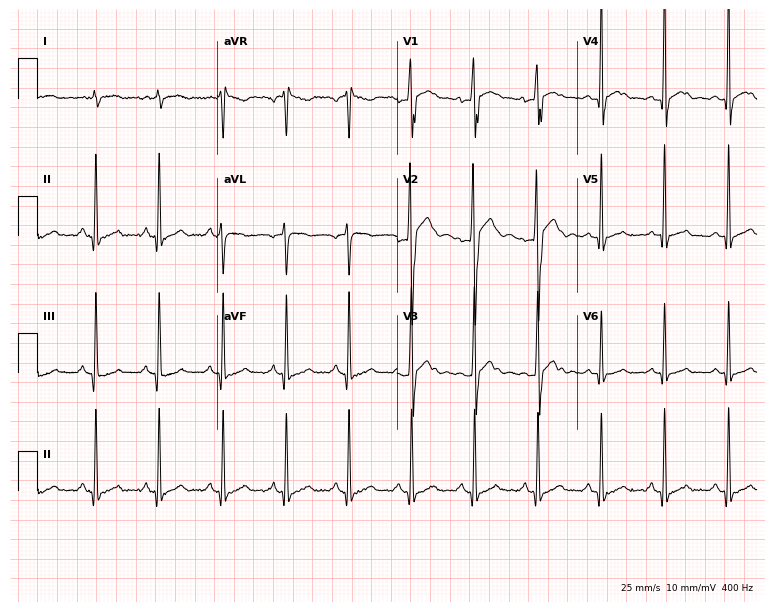
Electrocardiogram (7.3-second recording at 400 Hz), a male patient, 22 years old. Of the six screened findings (first-degree AV block, right bundle branch block (RBBB), left bundle branch block (LBBB), sinus bradycardia, atrial fibrillation (AF), sinus tachycardia), none is recorded.